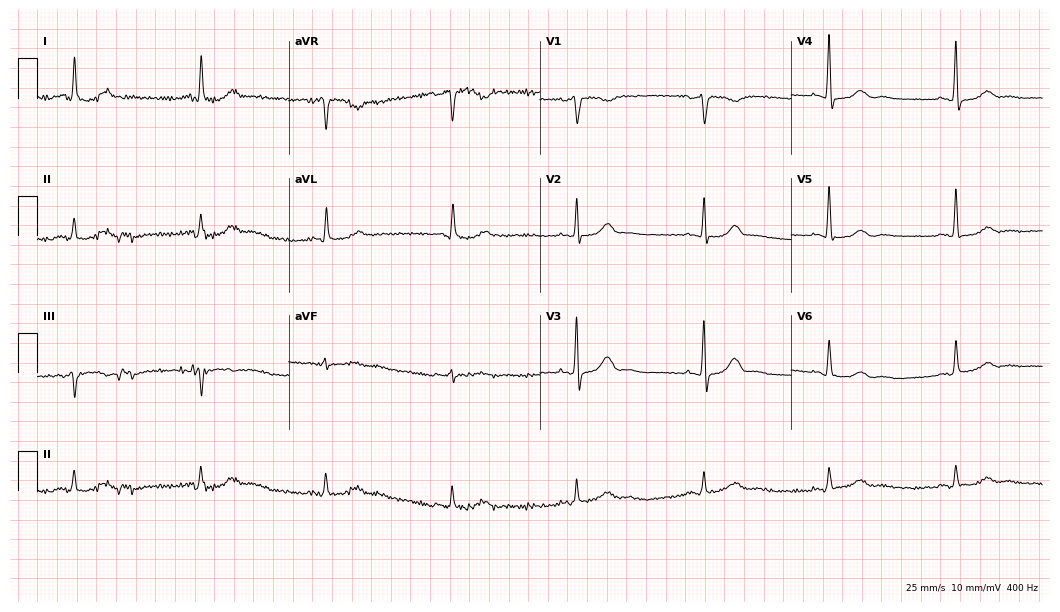
12-lead ECG from a male patient, 67 years old (10.2-second recording at 400 Hz). Shows sinus bradycardia (a sinus rate of 50 beats per minute or less).